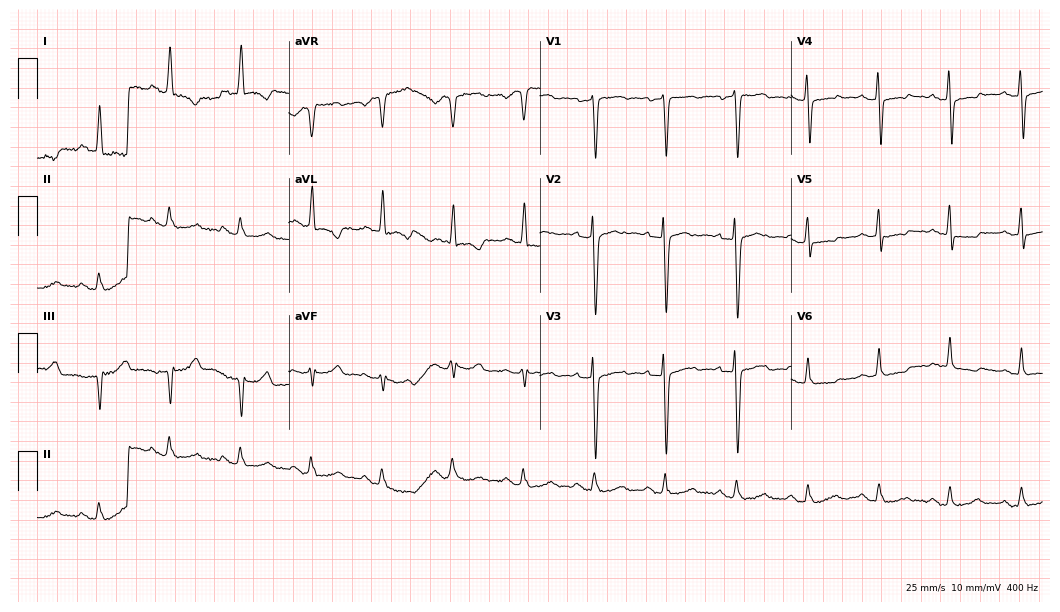
ECG — a woman, 71 years old. Screened for six findings — first-degree AV block, right bundle branch block, left bundle branch block, sinus bradycardia, atrial fibrillation, sinus tachycardia — none is recorded. Only these six findings were labelled.